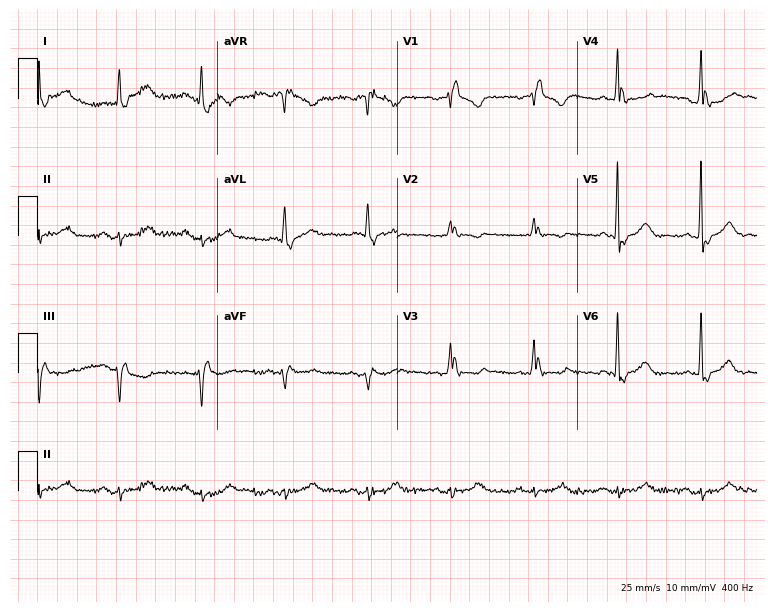
Standard 12-lead ECG recorded from an 83-year-old male patient (7.3-second recording at 400 Hz). The tracing shows right bundle branch block.